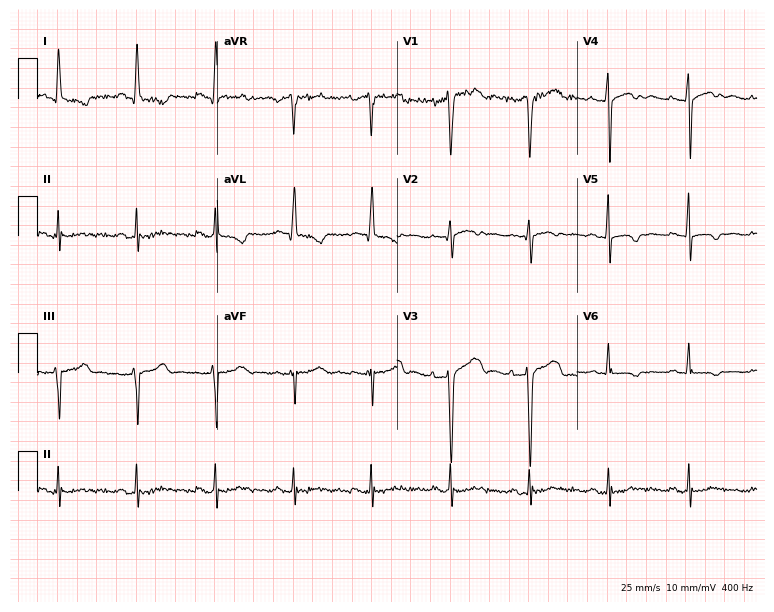
12-lead ECG from a female, 67 years old. Screened for six findings — first-degree AV block, right bundle branch block, left bundle branch block, sinus bradycardia, atrial fibrillation, sinus tachycardia — none is recorded.